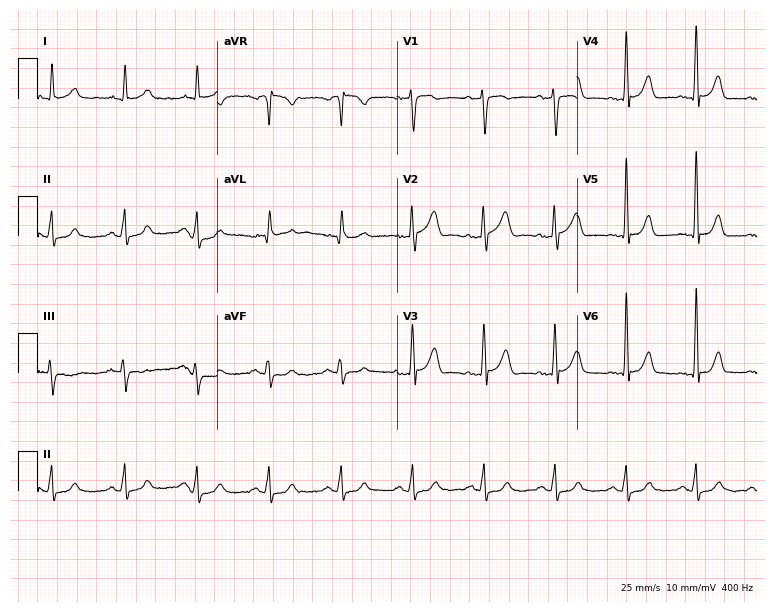
12-lead ECG from a man, 63 years old. Recorded interpretation: within normal limits.